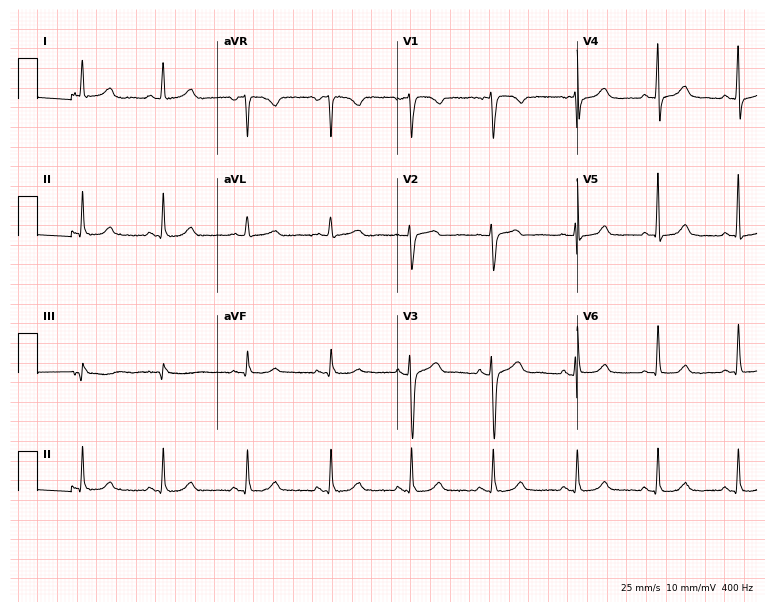
12-lead ECG from a 48-year-old woman (7.3-second recording at 400 Hz). No first-degree AV block, right bundle branch block (RBBB), left bundle branch block (LBBB), sinus bradycardia, atrial fibrillation (AF) or sinus tachycardia recorded for this tracing.